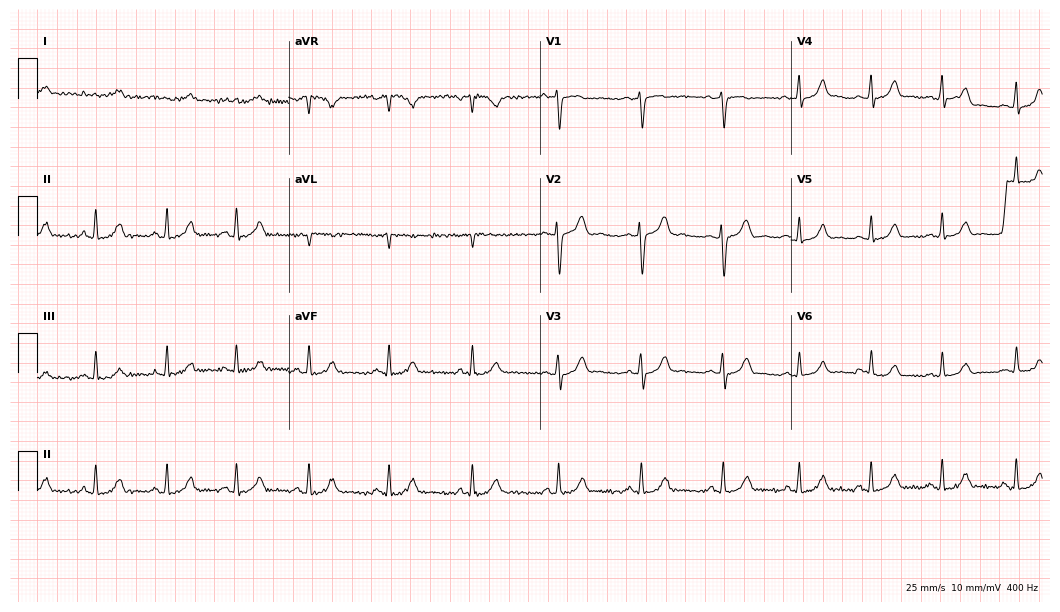
ECG — an 18-year-old woman. Labelled as a normal ECG.